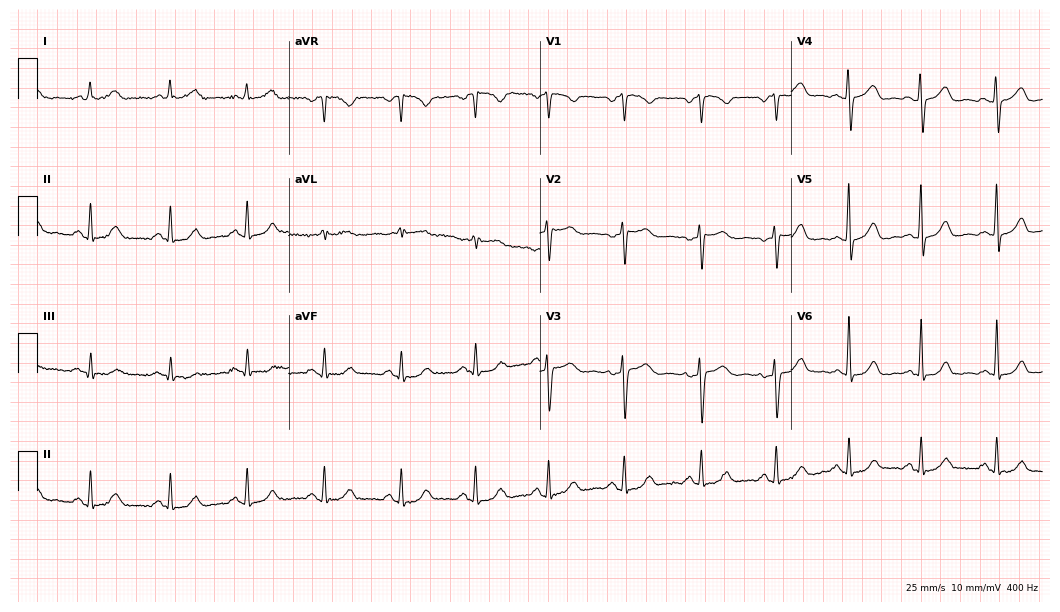
Standard 12-lead ECG recorded from a female, 43 years old. None of these six findings is recorded: first-degree AV block, right bundle branch block, left bundle branch block, sinus bradycardia, atrial fibrillation, sinus tachycardia.